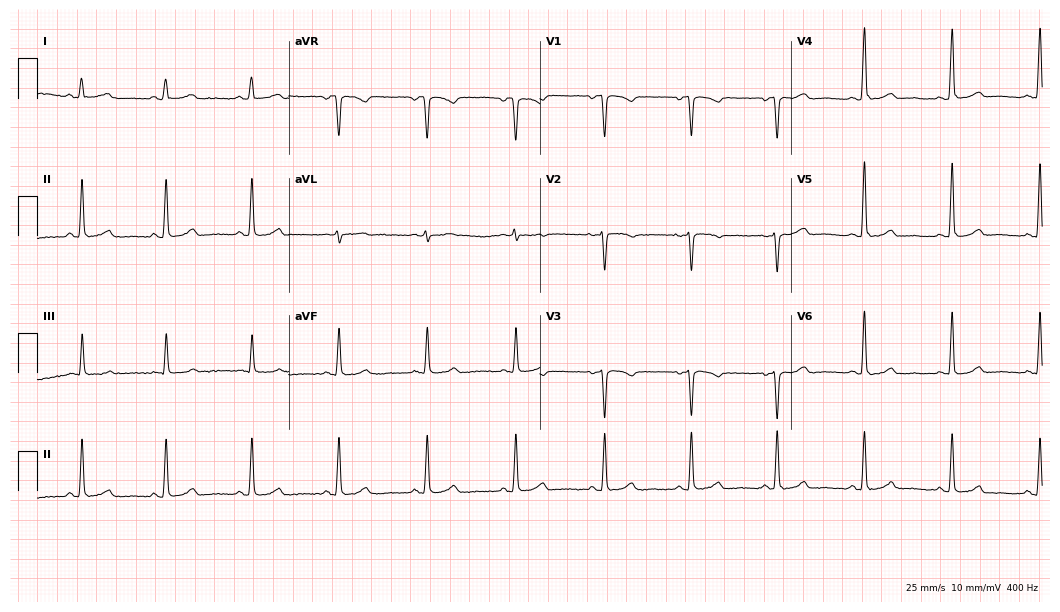
Resting 12-lead electrocardiogram. Patient: a 44-year-old female. None of these six findings is recorded: first-degree AV block, right bundle branch block (RBBB), left bundle branch block (LBBB), sinus bradycardia, atrial fibrillation (AF), sinus tachycardia. Findings outside these six are not listed.